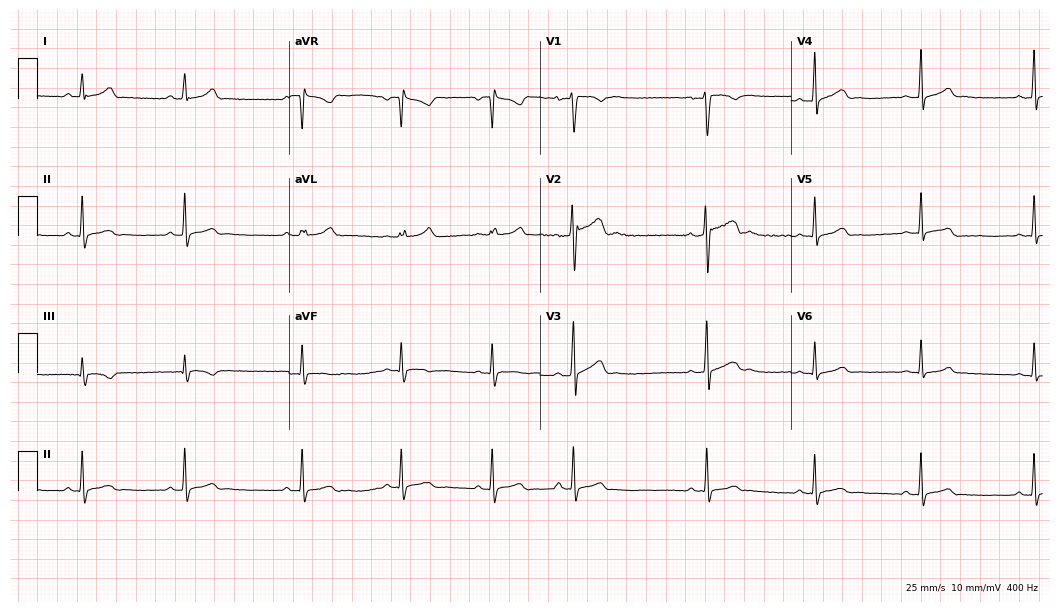
12-lead ECG from a 17-year-old male patient (10.2-second recording at 400 Hz). No first-degree AV block, right bundle branch block (RBBB), left bundle branch block (LBBB), sinus bradycardia, atrial fibrillation (AF) or sinus tachycardia recorded for this tracing.